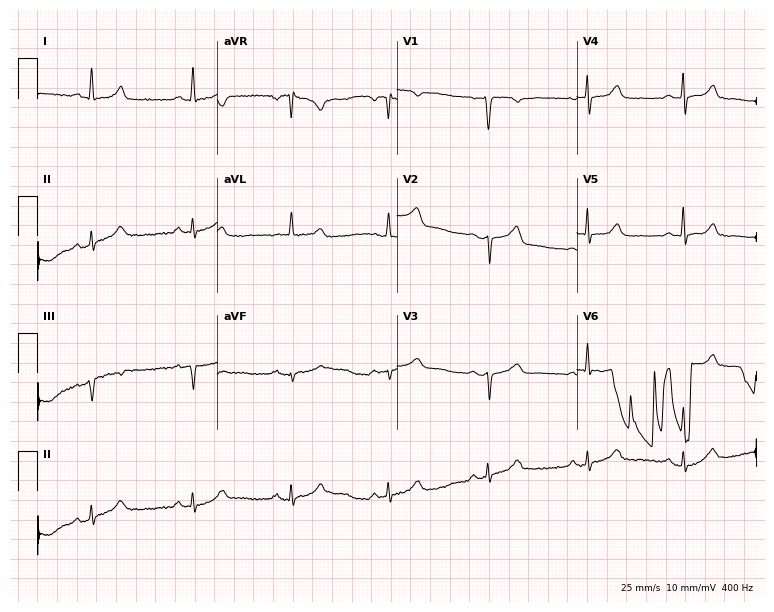
12-lead ECG from a woman, 66 years old. Screened for six findings — first-degree AV block, right bundle branch block (RBBB), left bundle branch block (LBBB), sinus bradycardia, atrial fibrillation (AF), sinus tachycardia — none is recorded.